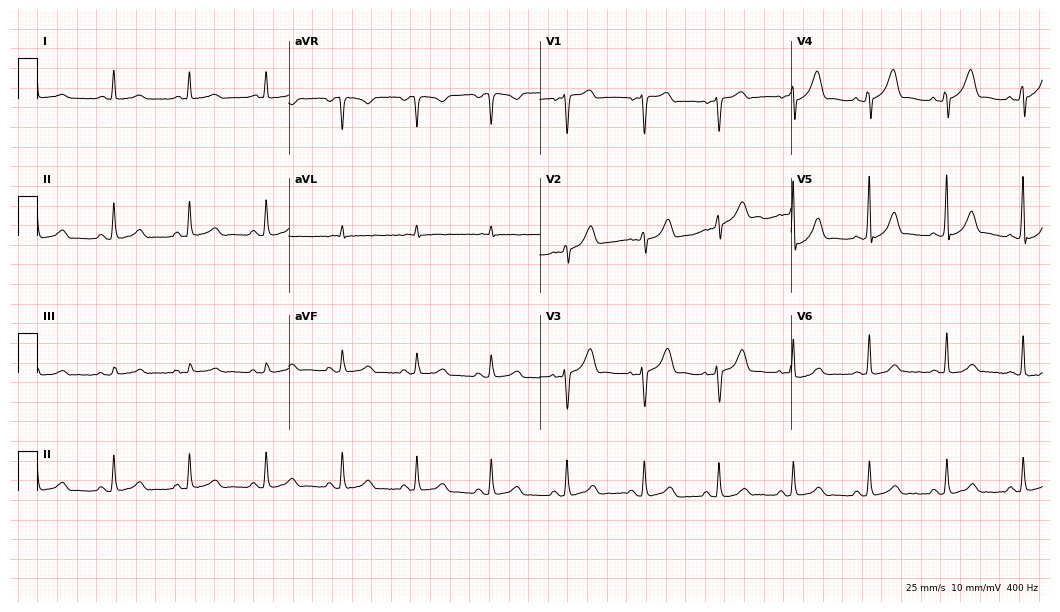
Electrocardiogram (10.2-second recording at 400 Hz), a 49-year-old male patient. Overall reading on record: normal ECG.